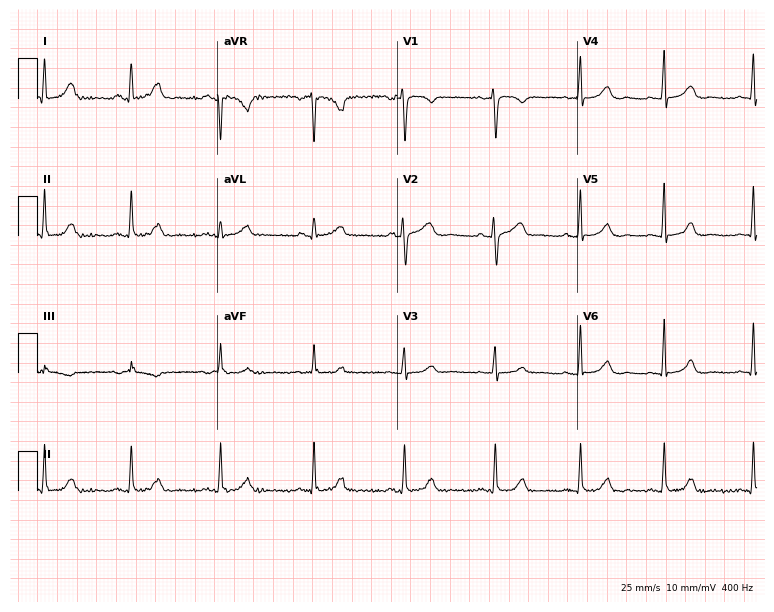
12-lead ECG from a female patient, 42 years old (7.3-second recording at 400 Hz). Recorded interpretation: within normal limits.